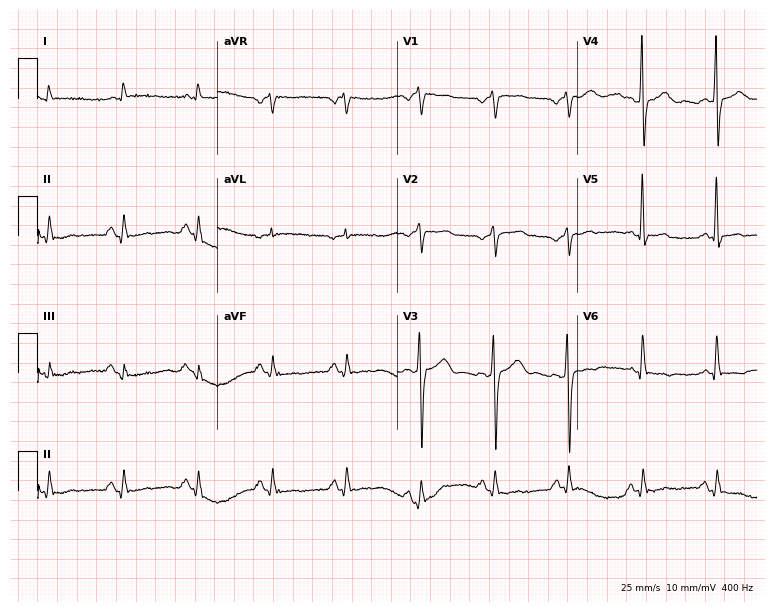
Electrocardiogram, a 75-year-old male patient. Of the six screened findings (first-degree AV block, right bundle branch block (RBBB), left bundle branch block (LBBB), sinus bradycardia, atrial fibrillation (AF), sinus tachycardia), none is recorded.